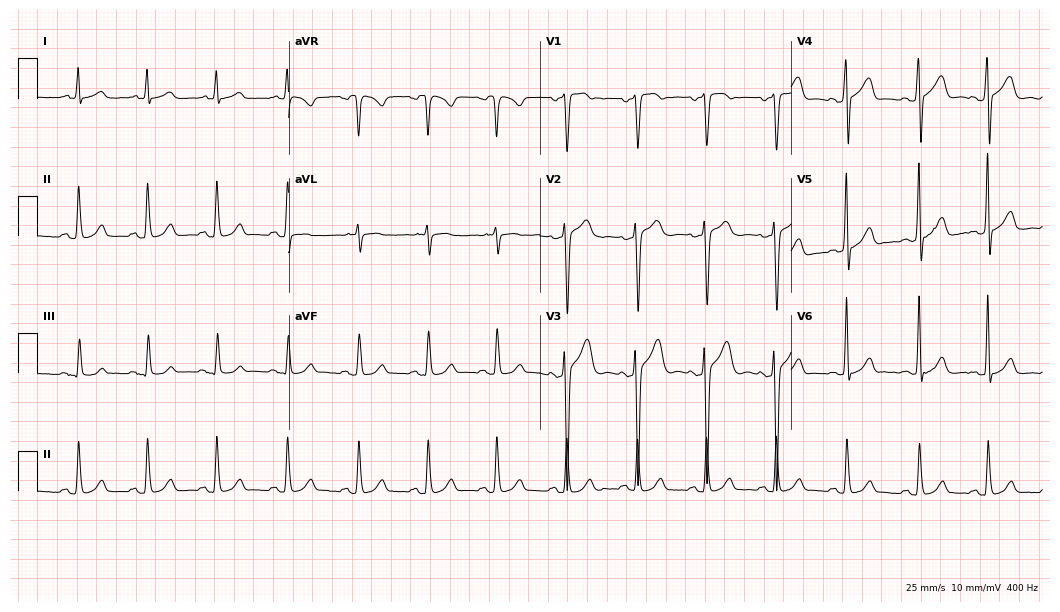
12-lead ECG from a male, 38 years old (10.2-second recording at 400 Hz). No first-degree AV block, right bundle branch block, left bundle branch block, sinus bradycardia, atrial fibrillation or sinus tachycardia recorded for this tracing.